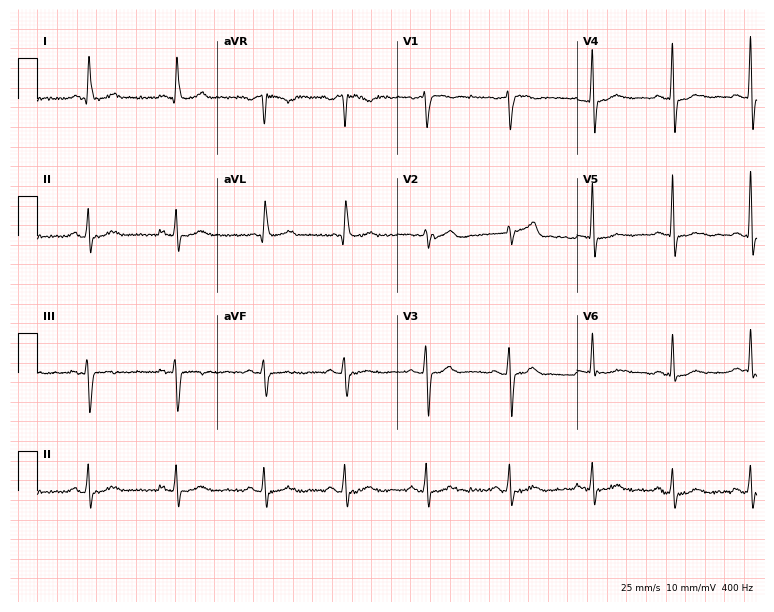
Standard 12-lead ECG recorded from a 48-year-old female patient. Read as a normal ECG.